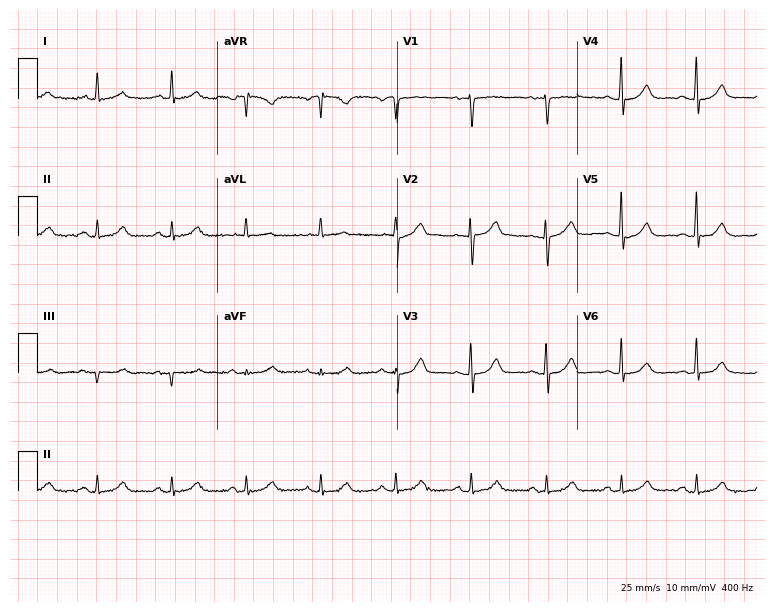
12-lead ECG from a 59-year-old female. Recorded interpretation: within normal limits.